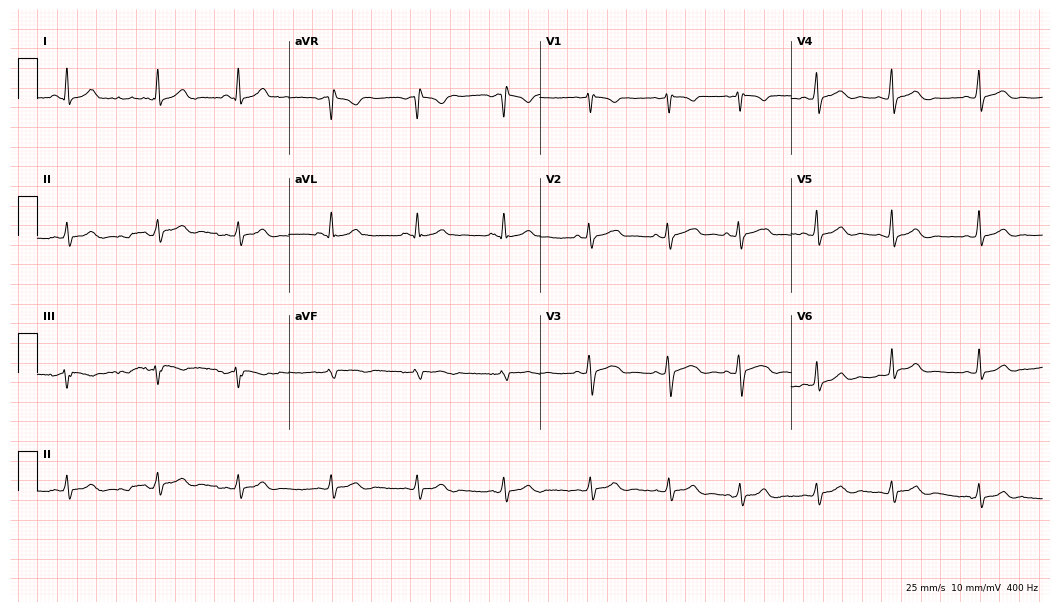
12-lead ECG from a 26-year-old female patient. Recorded interpretation: within normal limits.